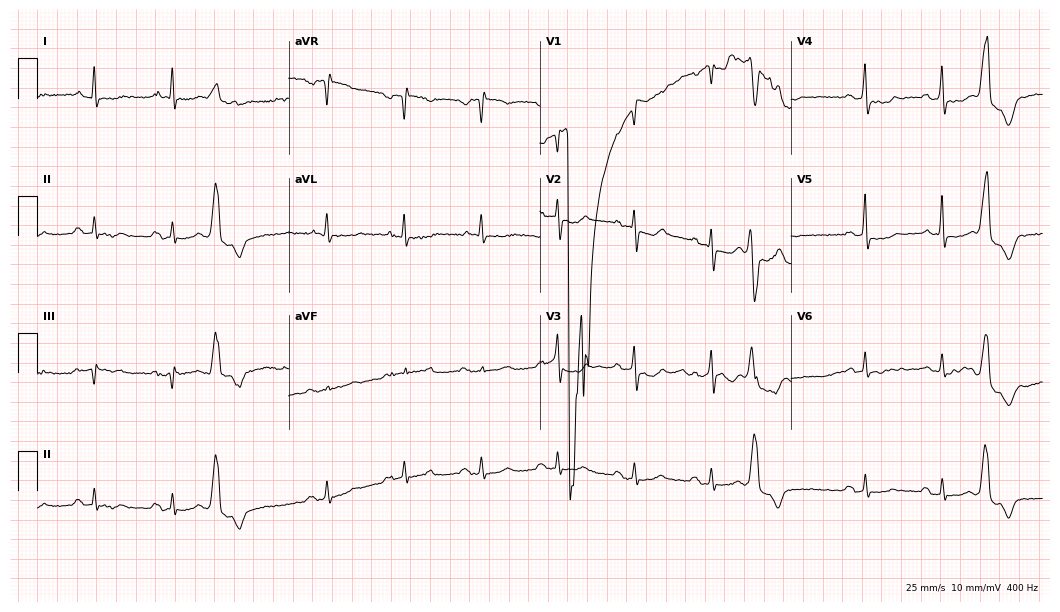
Electrocardiogram (10.2-second recording at 400 Hz), a 67-year-old man. Of the six screened findings (first-degree AV block, right bundle branch block (RBBB), left bundle branch block (LBBB), sinus bradycardia, atrial fibrillation (AF), sinus tachycardia), none is recorded. Other findings, if any, are not listed.